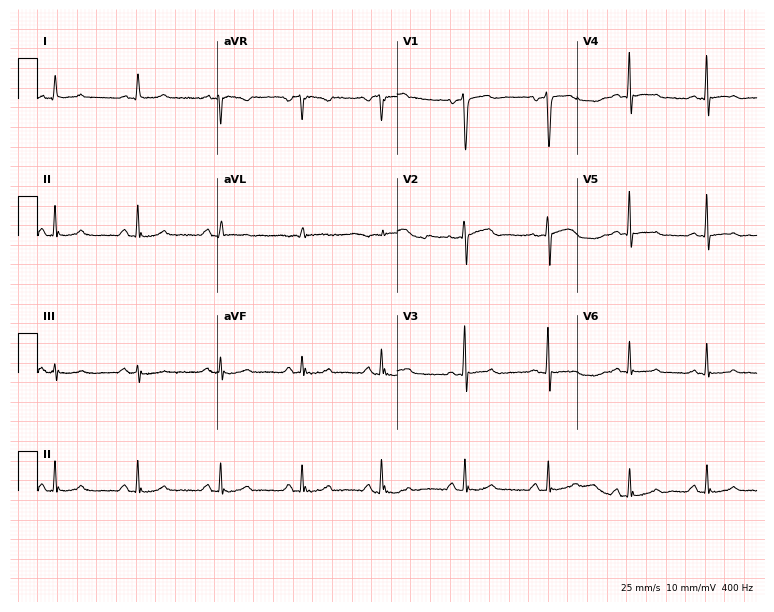
ECG (7.3-second recording at 400 Hz) — a 51-year-old male patient. Labelled as a normal ECG.